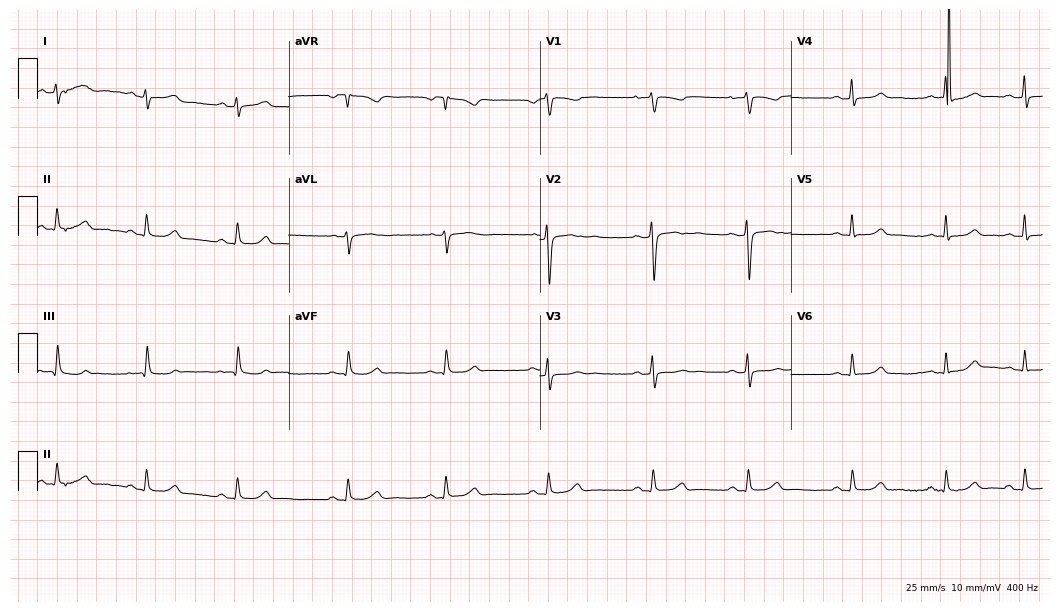
Resting 12-lead electrocardiogram (10.2-second recording at 400 Hz). Patient: a woman, 21 years old. Read as a normal ECG.